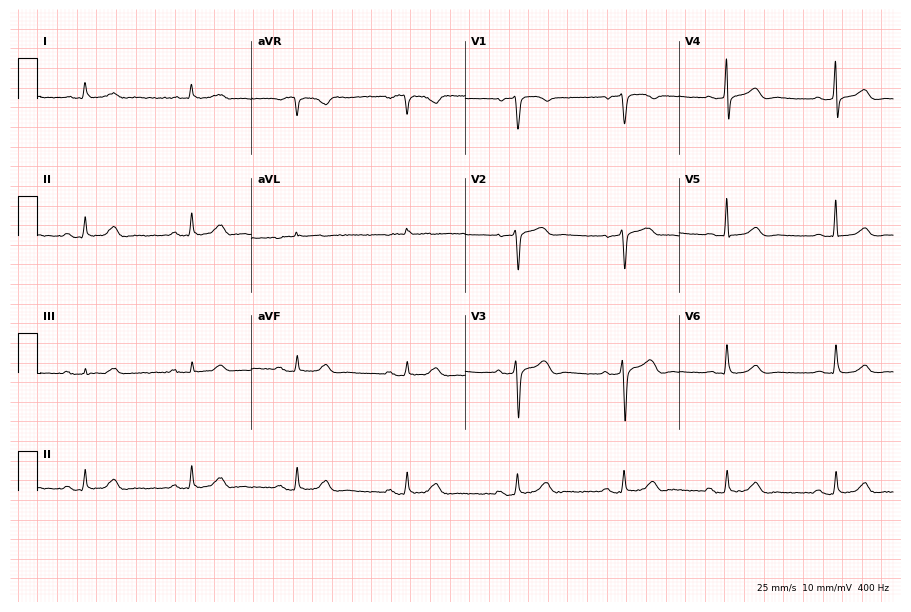
12-lead ECG (8.7-second recording at 400 Hz) from an 80-year-old male. Labelled as a normal ECG.